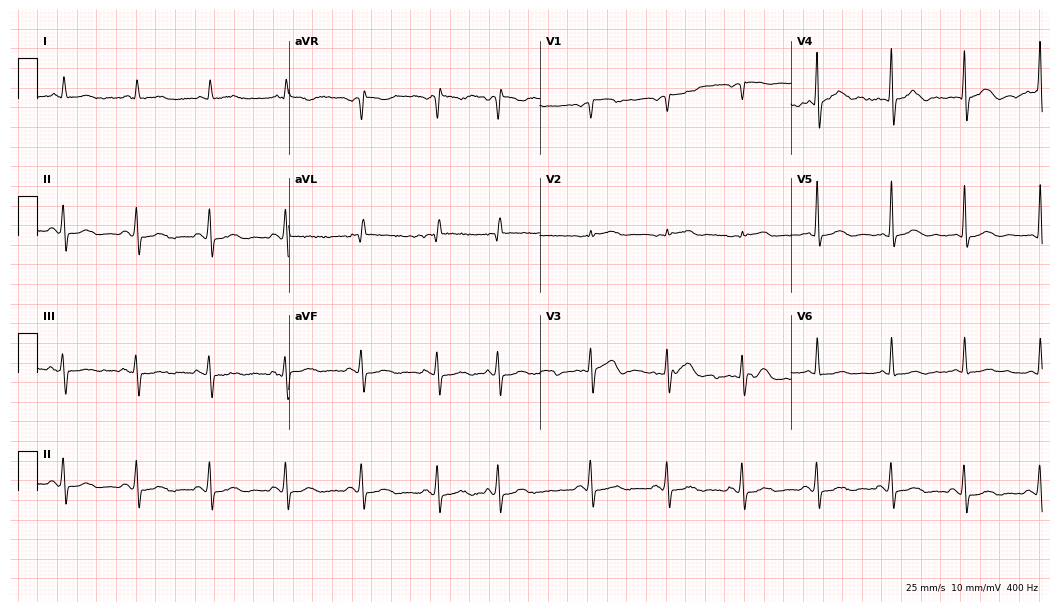
12-lead ECG from a man, 79 years old. Labelled as a normal ECG.